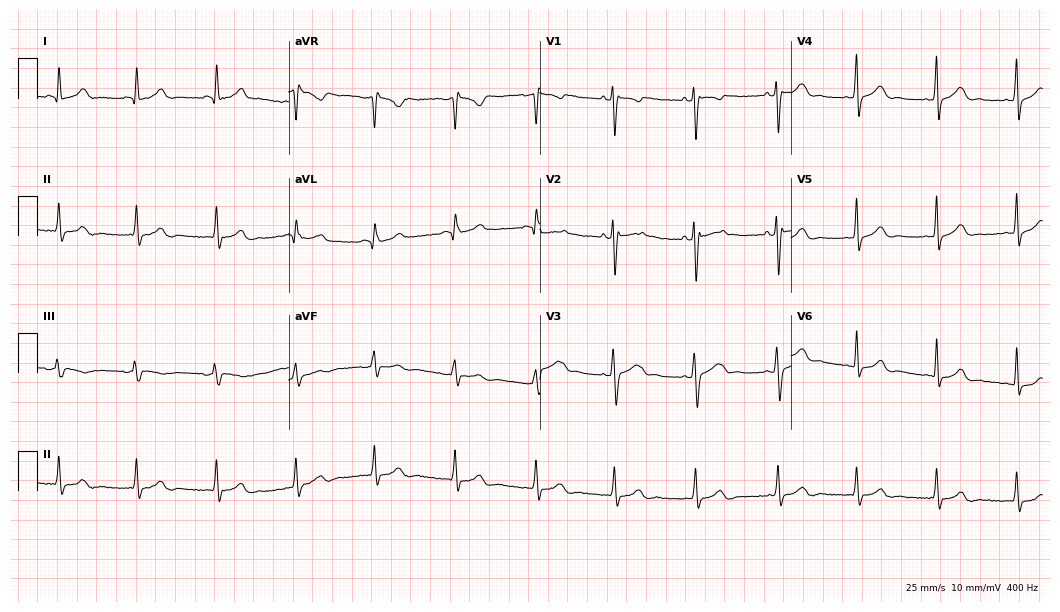
Standard 12-lead ECG recorded from a 20-year-old female. None of these six findings is recorded: first-degree AV block, right bundle branch block (RBBB), left bundle branch block (LBBB), sinus bradycardia, atrial fibrillation (AF), sinus tachycardia. Other findings, if any, are not listed.